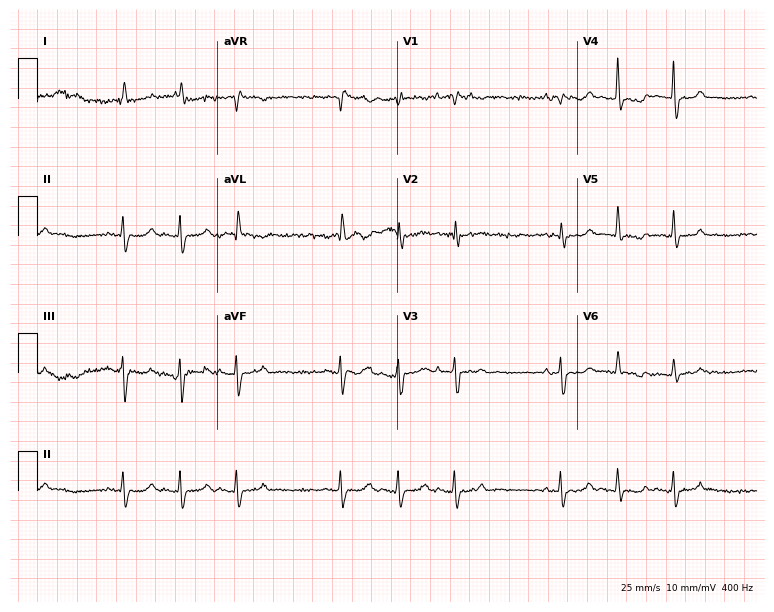
12-lead ECG (7.3-second recording at 400 Hz) from an 82-year-old woman. Screened for six findings — first-degree AV block, right bundle branch block (RBBB), left bundle branch block (LBBB), sinus bradycardia, atrial fibrillation (AF), sinus tachycardia — none is recorded.